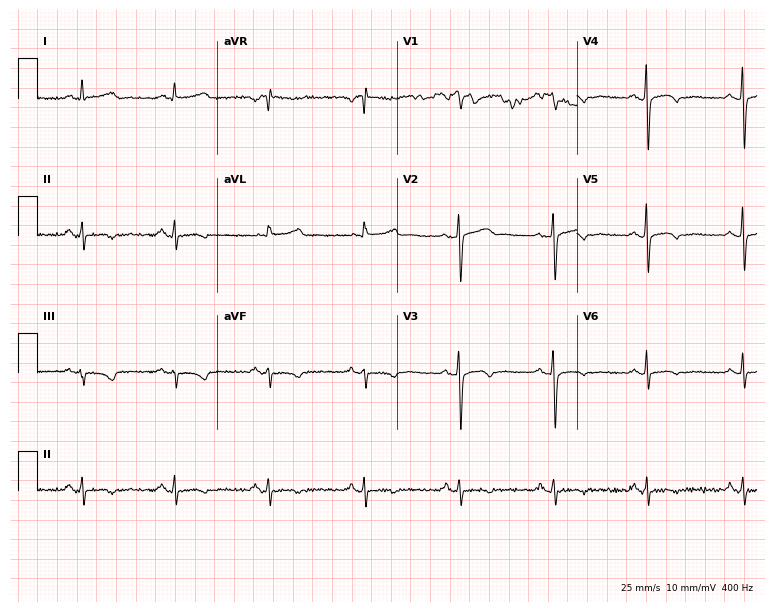
Standard 12-lead ECG recorded from a 52-year-old female. None of these six findings is recorded: first-degree AV block, right bundle branch block, left bundle branch block, sinus bradycardia, atrial fibrillation, sinus tachycardia. Findings outside these six are not listed.